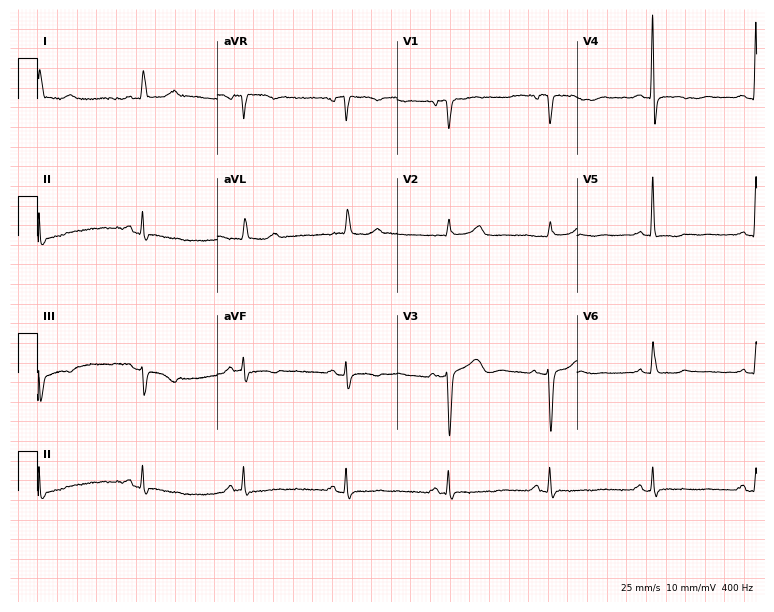
Standard 12-lead ECG recorded from a 73-year-old female patient. None of these six findings is recorded: first-degree AV block, right bundle branch block, left bundle branch block, sinus bradycardia, atrial fibrillation, sinus tachycardia.